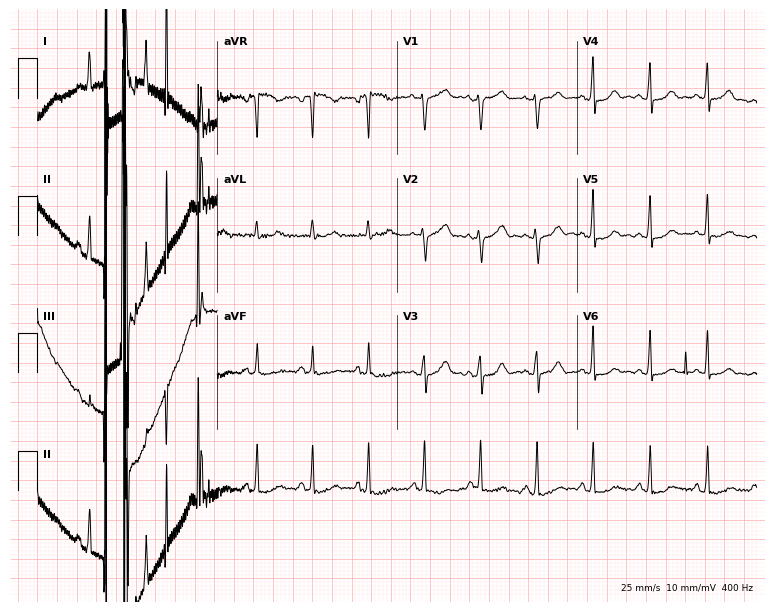
Resting 12-lead electrocardiogram. Patient: a 36-year-old female. None of these six findings is recorded: first-degree AV block, right bundle branch block (RBBB), left bundle branch block (LBBB), sinus bradycardia, atrial fibrillation (AF), sinus tachycardia. Only these six findings were labelled.